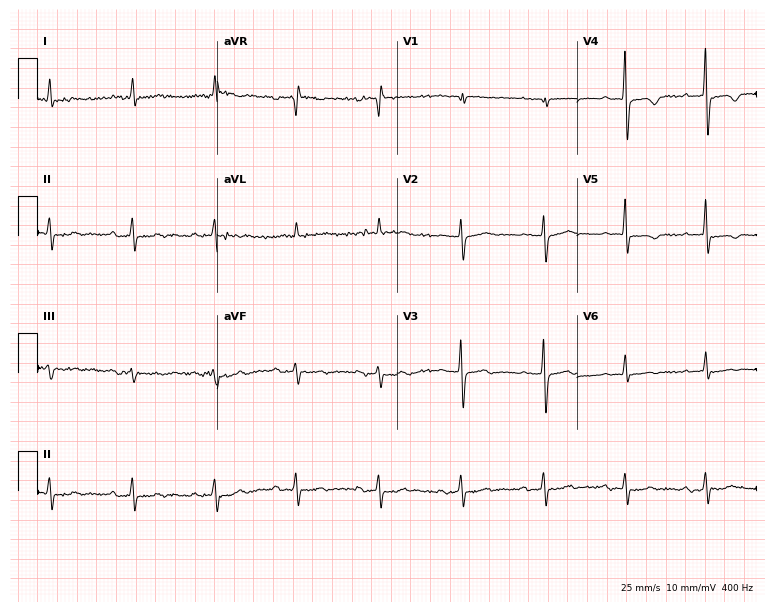
12-lead ECG from an 81-year-old female patient. No first-degree AV block, right bundle branch block, left bundle branch block, sinus bradycardia, atrial fibrillation or sinus tachycardia recorded for this tracing. Other findings, if any, are not listed.